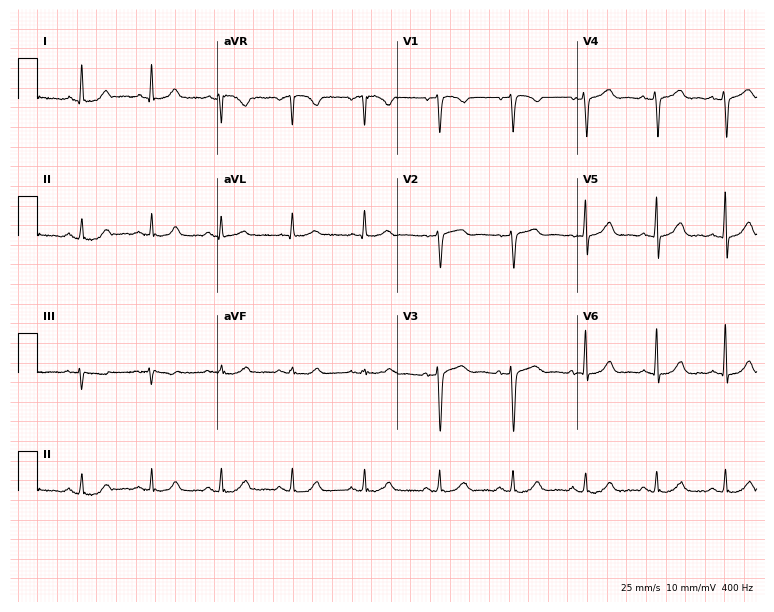
Electrocardiogram, a woman, 55 years old. Of the six screened findings (first-degree AV block, right bundle branch block, left bundle branch block, sinus bradycardia, atrial fibrillation, sinus tachycardia), none is recorded.